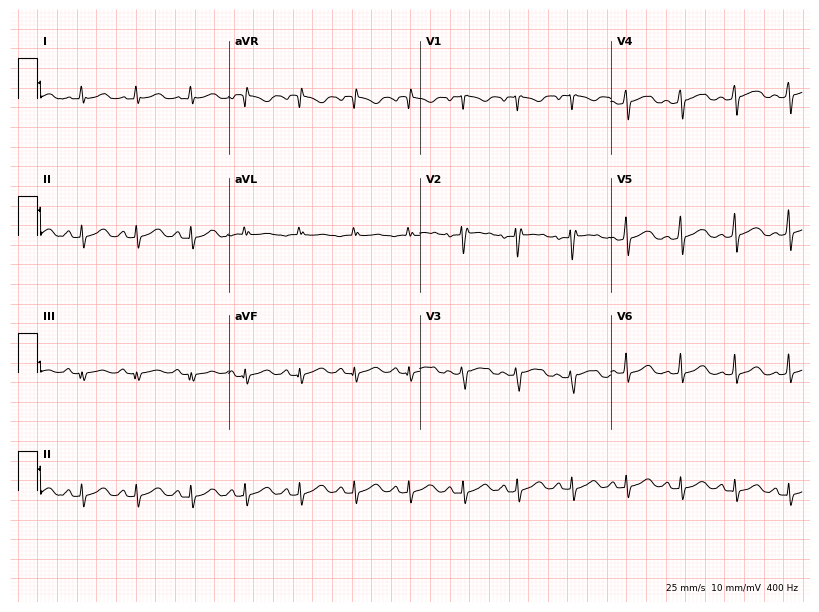
Electrocardiogram, a female, 28 years old. Interpretation includes sinus tachycardia (a sinus rate of 100 beats per minute or more).